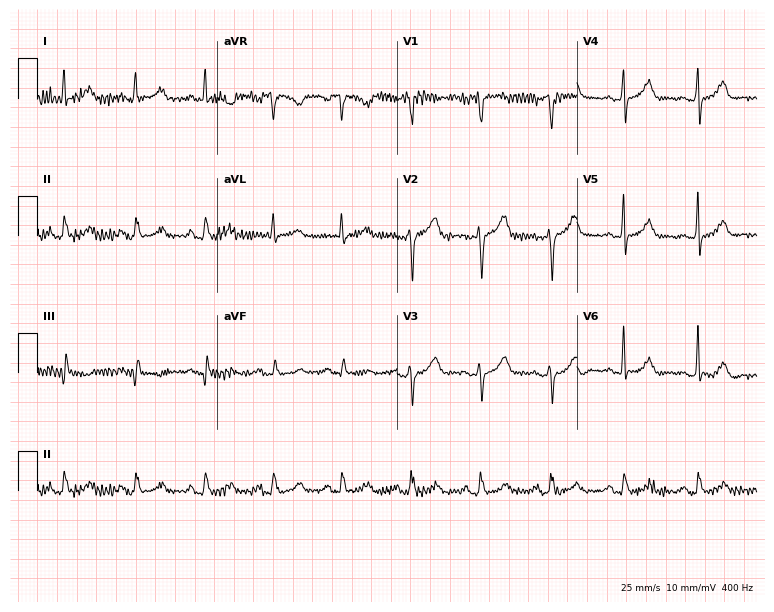
Electrocardiogram, a female, 46 years old. Of the six screened findings (first-degree AV block, right bundle branch block, left bundle branch block, sinus bradycardia, atrial fibrillation, sinus tachycardia), none is recorded.